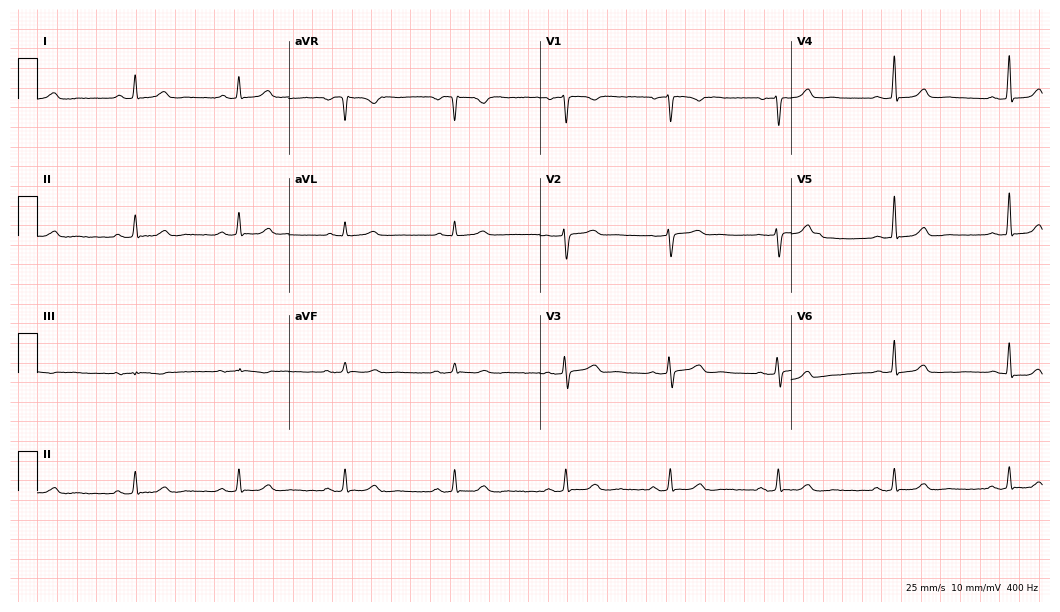
ECG — a female patient, 50 years old. Labelled as a normal ECG.